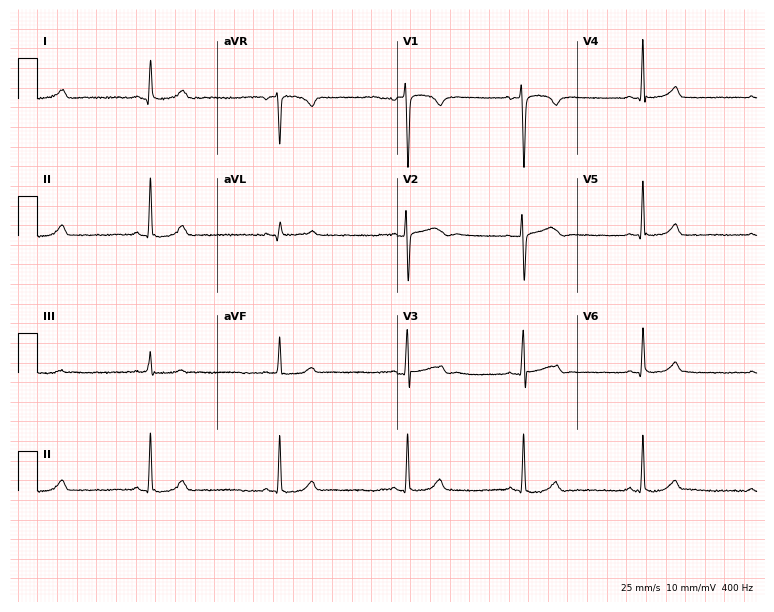
12-lead ECG from a female, 31 years old. Recorded interpretation: within normal limits.